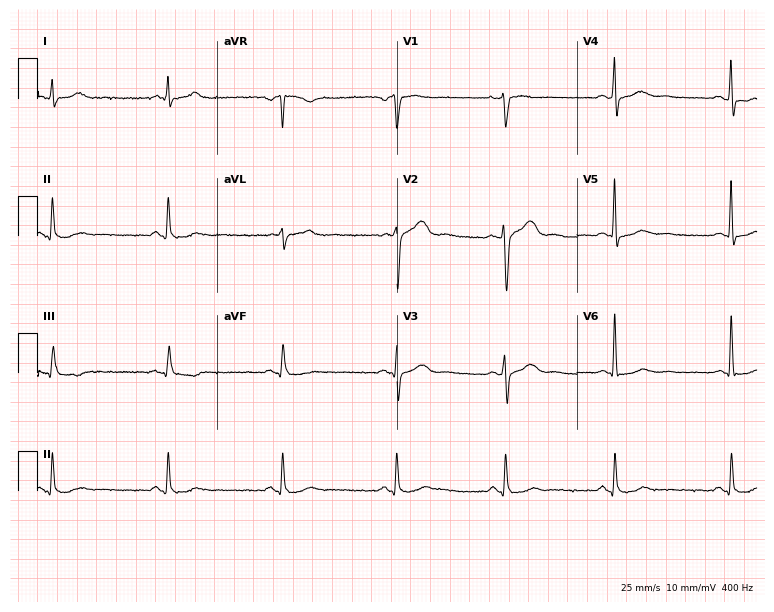
Electrocardiogram (7.3-second recording at 400 Hz), a 43-year-old male patient. Of the six screened findings (first-degree AV block, right bundle branch block, left bundle branch block, sinus bradycardia, atrial fibrillation, sinus tachycardia), none is recorded. Findings outside these six are not listed.